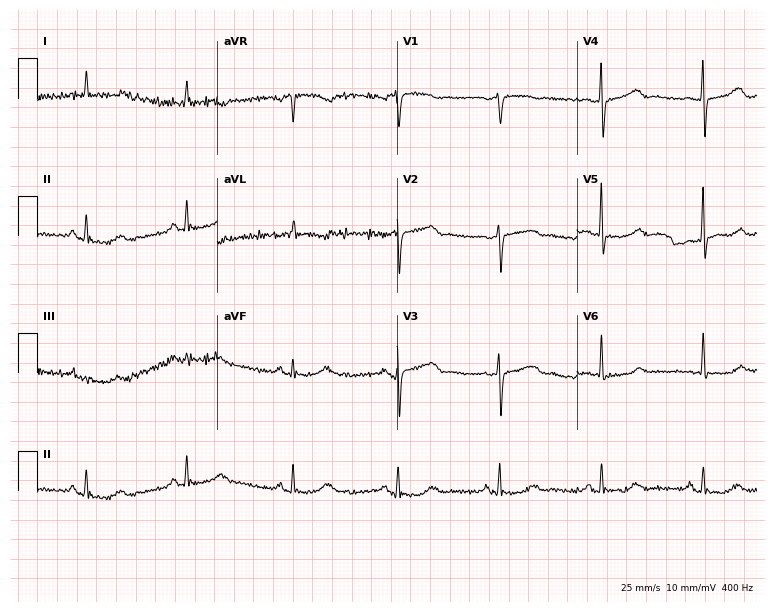
Resting 12-lead electrocardiogram (7.3-second recording at 400 Hz). Patient: a 71-year-old female. None of these six findings is recorded: first-degree AV block, right bundle branch block (RBBB), left bundle branch block (LBBB), sinus bradycardia, atrial fibrillation (AF), sinus tachycardia.